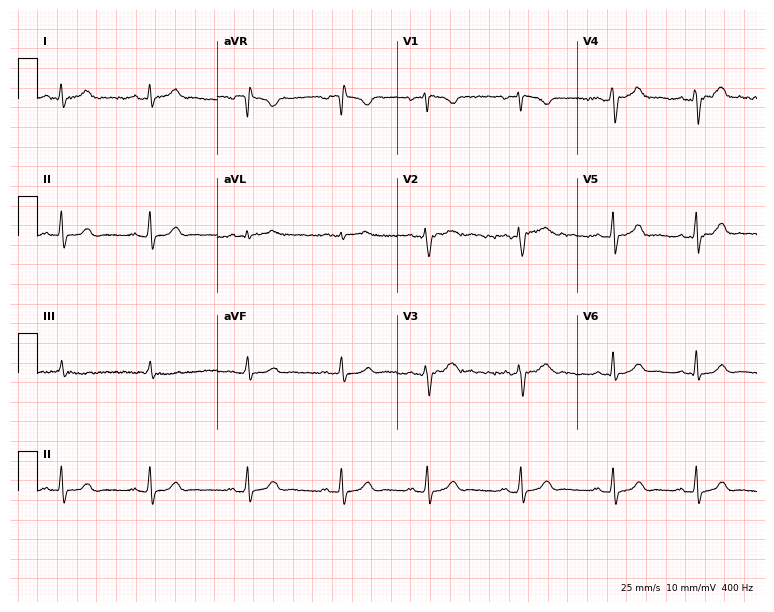
12-lead ECG (7.3-second recording at 400 Hz) from a 30-year-old female. Screened for six findings — first-degree AV block, right bundle branch block, left bundle branch block, sinus bradycardia, atrial fibrillation, sinus tachycardia — none is recorded. Other findings, if any, are not listed.